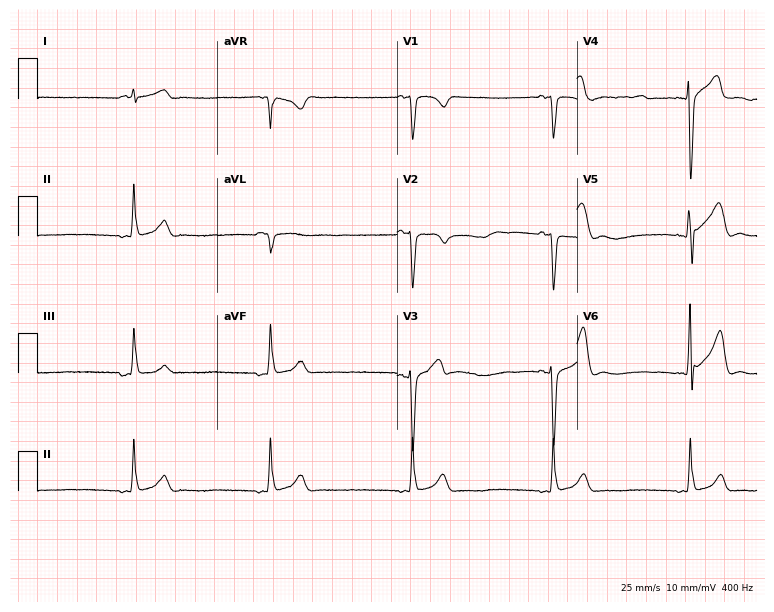
ECG — a male, 46 years old. Findings include sinus bradycardia (a sinus rate of 50 beats per minute or less).